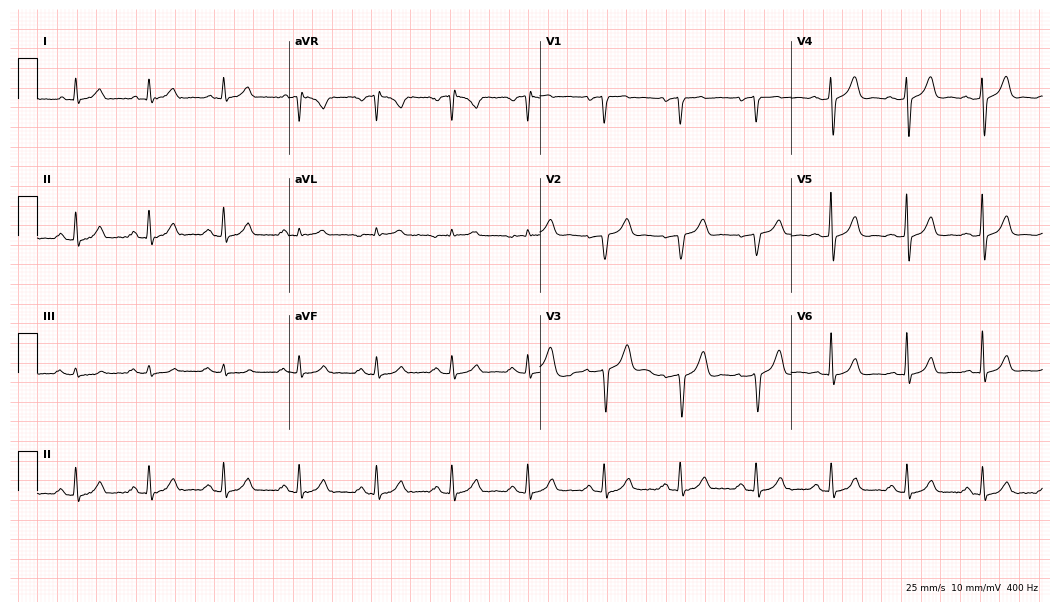
12-lead ECG from a male, 63 years old. Screened for six findings — first-degree AV block, right bundle branch block (RBBB), left bundle branch block (LBBB), sinus bradycardia, atrial fibrillation (AF), sinus tachycardia — none is recorded.